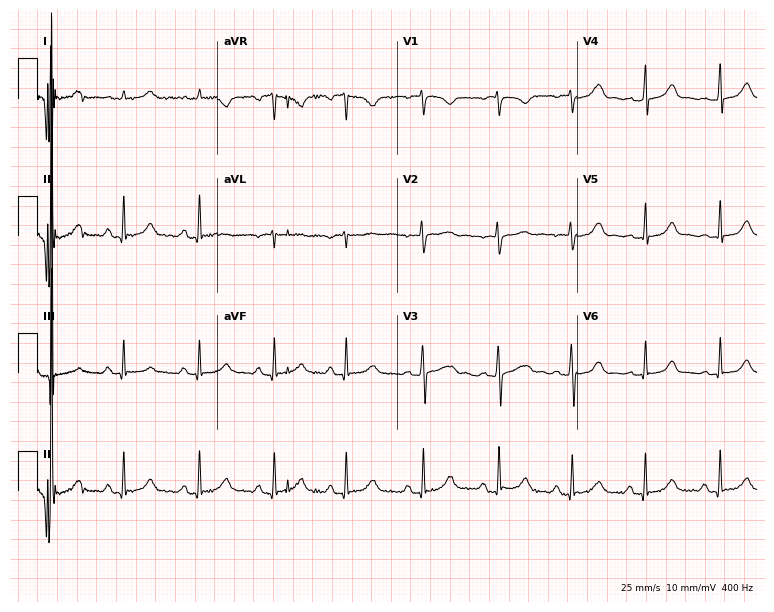
Standard 12-lead ECG recorded from a woman, 28 years old. None of these six findings is recorded: first-degree AV block, right bundle branch block (RBBB), left bundle branch block (LBBB), sinus bradycardia, atrial fibrillation (AF), sinus tachycardia.